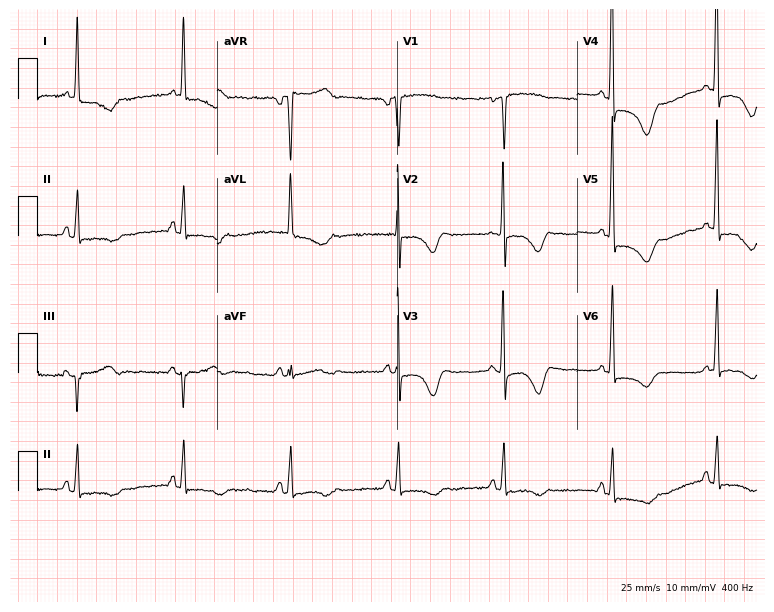
Resting 12-lead electrocardiogram. Patient: a 76-year-old female. None of these six findings is recorded: first-degree AV block, right bundle branch block, left bundle branch block, sinus bradycardia, atrial fibrillation, sinus tachycardia. Only these six findings were labelled.